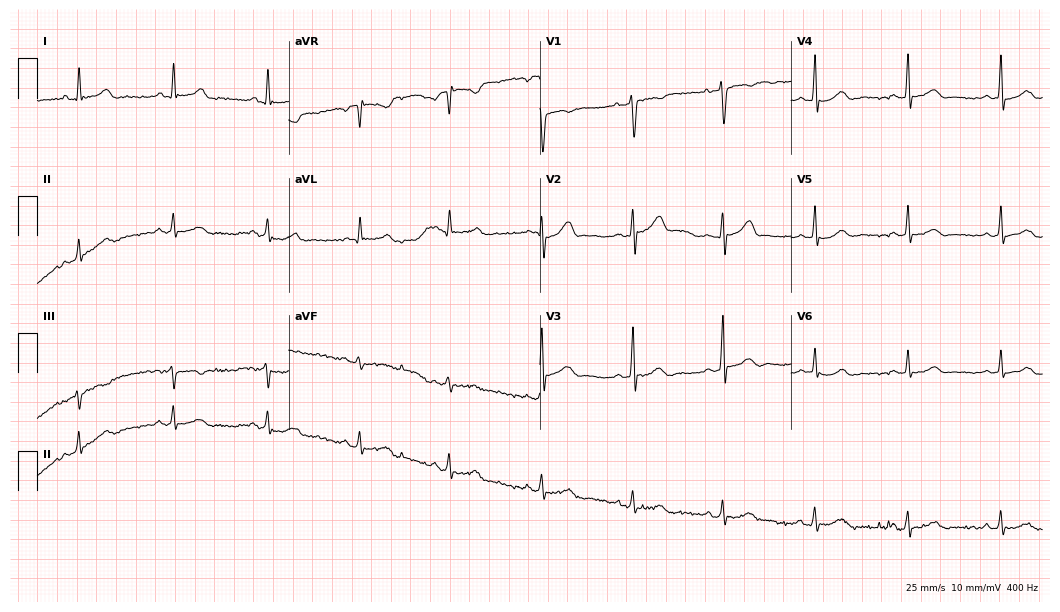
Electrocardiogram (10.2-second recording at 400 Hz), a 42-year-old male patient. Overall reading on record: normal ECG.